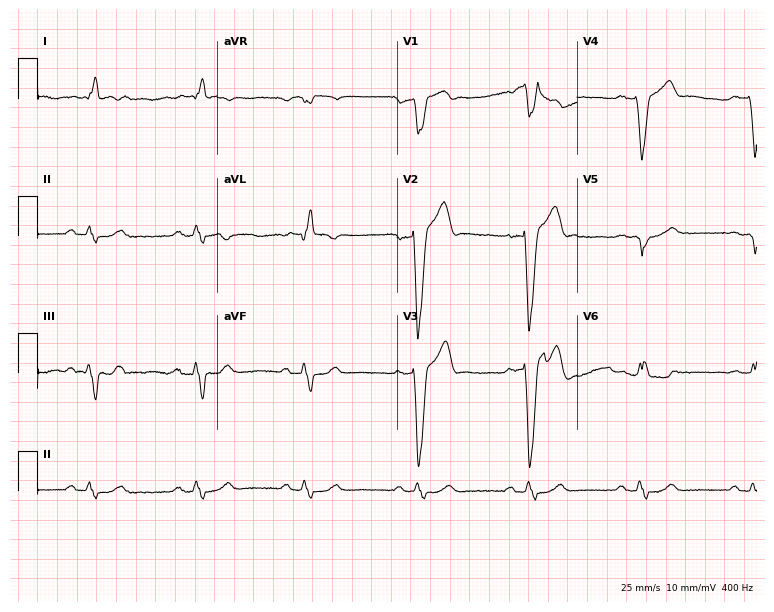
Electrocardiogram, a 71-year-old man. Interpretation includes left bundle branch block.